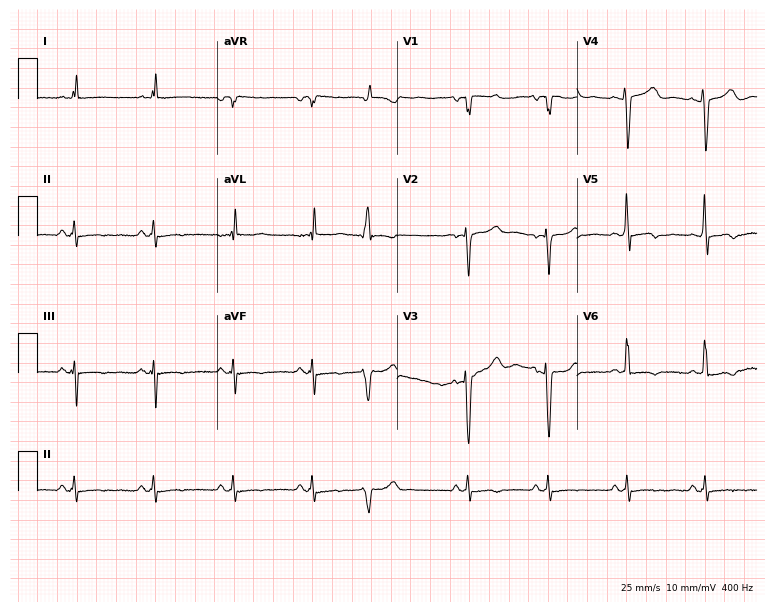
12-lead ECG from a 57-year-old female patient. Screened for six findings — first-degree AV block, right bundle branch block, left bundle branch block, sinus bradycardia, atrial fibrillation, sinus tachycardia — none is recorded. Other findings, if any, are not listed.